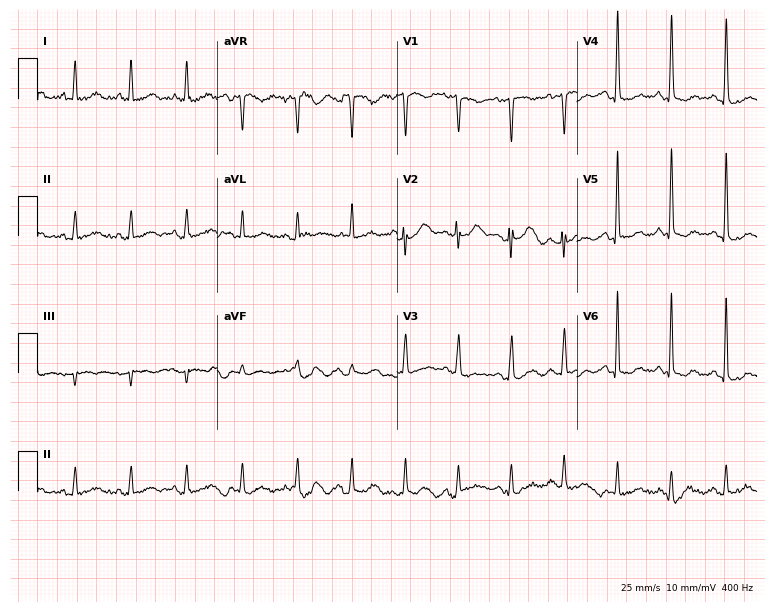
Standard 12-lead ECG recorded from a woman, 43 years old. The tracing shows sinus tachycardia (a sinus rate of 100 beats per minute or more).